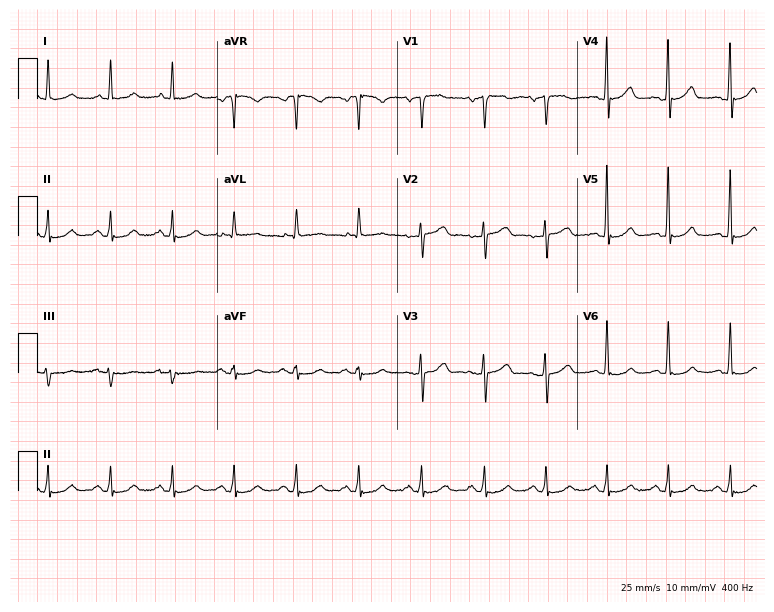
ECG (7.3-second recording at 400 Hz) — a 46-year-old female. Screened for six findings — first-degree AV block, right bundle branch block, left bundle branch block, sinus bradycardia, atrial fibrillation, sinus tachycardia — none is recorded.